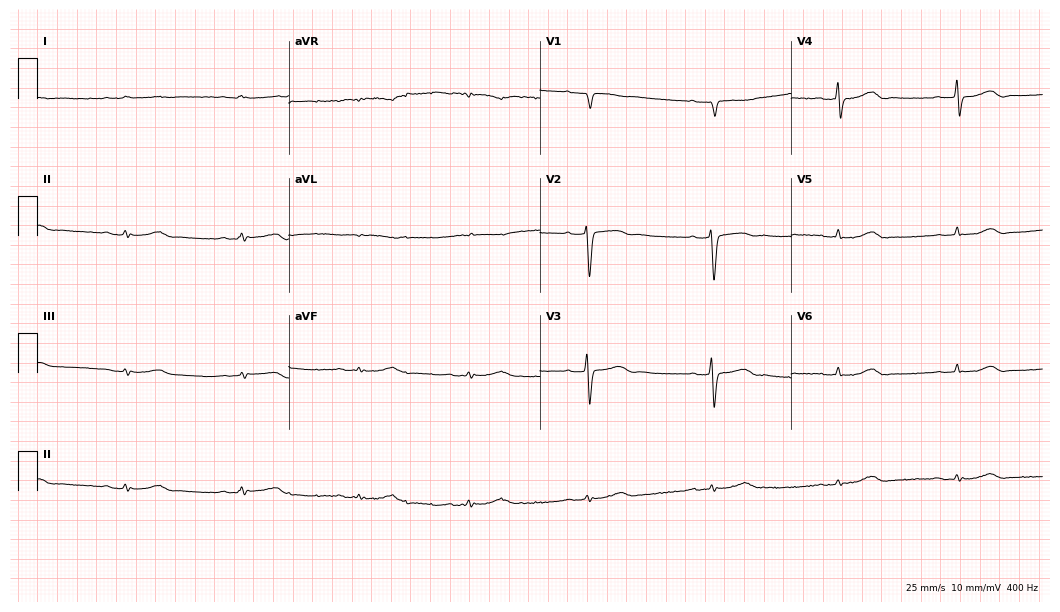
12-lead ECG from a man, 73 years old. No first-degree AV block, right bundle branch block, left bundle branch block, sinus bradycardia, atrial fibrillation or sinus tachycardia recorded for this tracing.